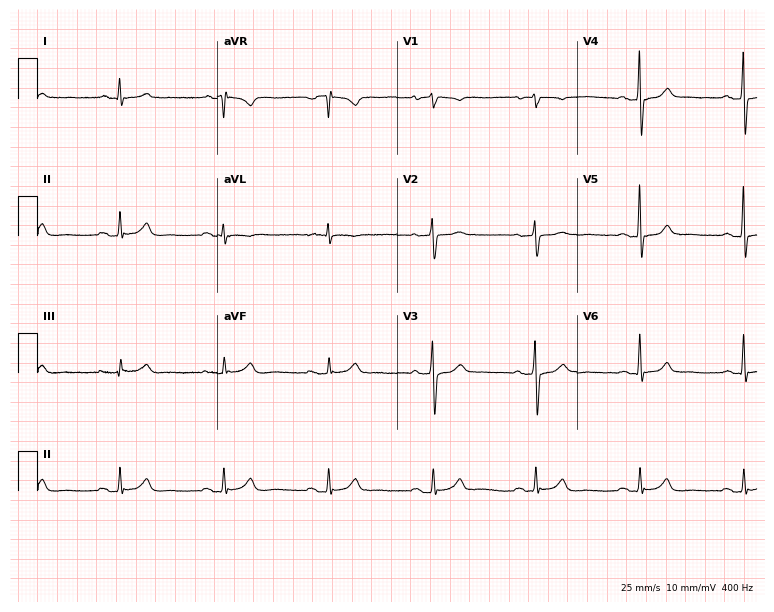
Electrocardiogram (7.3-second recording at 400 Hz), a 67-year-old male. Overall reading on record: normal ECG.